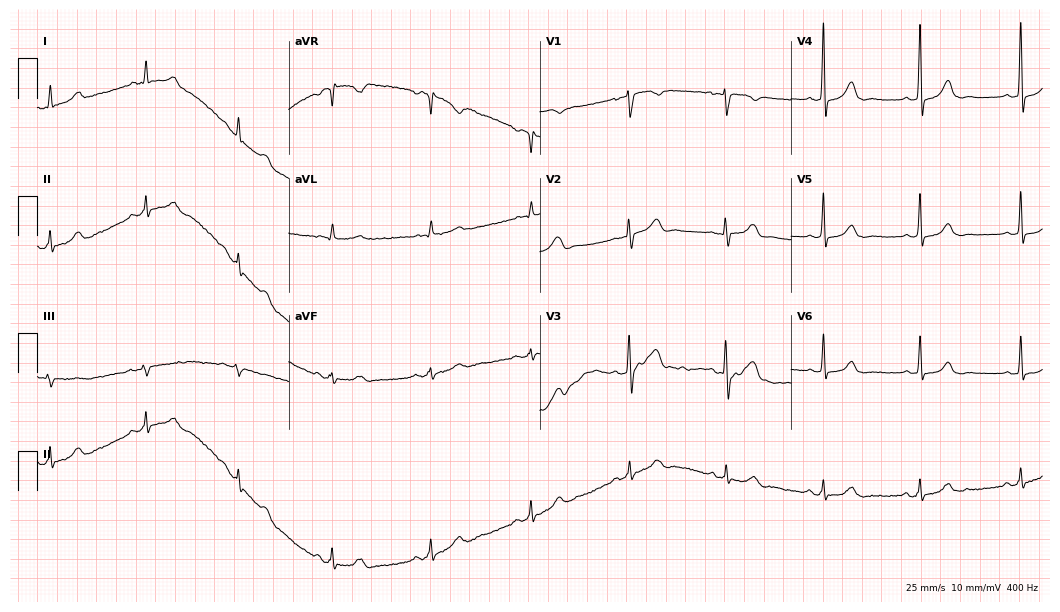
Resting 12-lead electrocardiogram (10.2-second recording at 400 Hz). Patient: a 39-year-old woman. None of these six findings is recorded: first-degree AV block, right bundle branch block, left bundle branch block, sinus bradycardia, atrial fibrillation, sinus tachycardia.